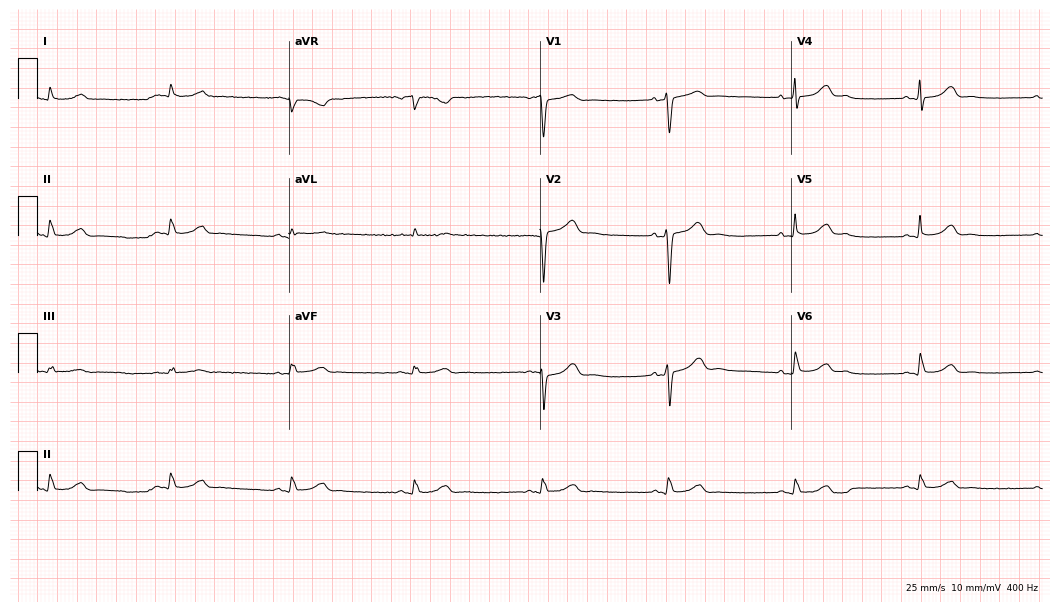
12-lead ECG from a female, 82 years old. Findings include sinus bradycardia (a sinus rate of 50 beats per minute or less).